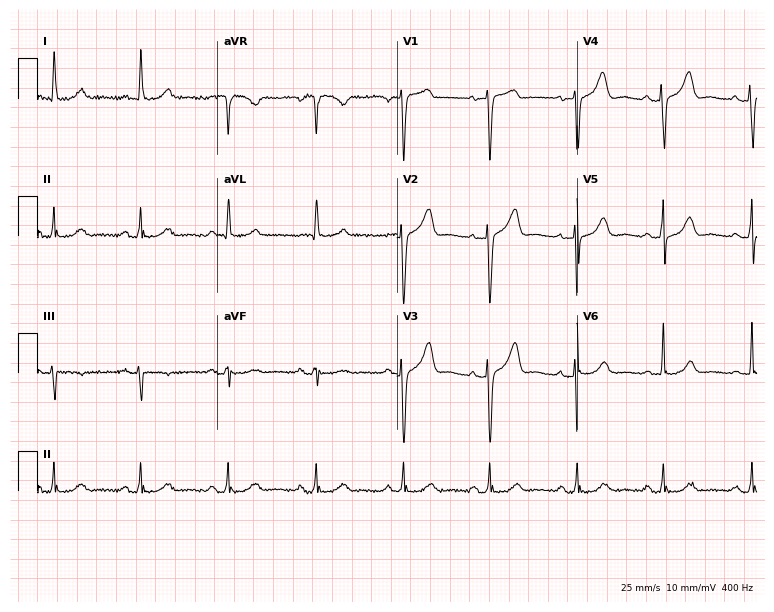
Resting 12-lead electrocardiogram (7.3-second recording at 400 Hz). Patient: a female, 67 years old. Read as a normal ECG.